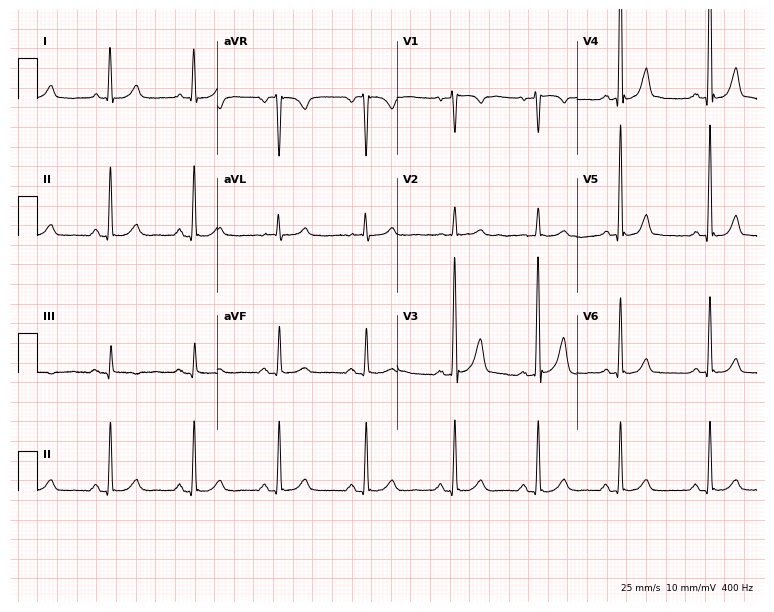
Resting 12-lead electrocardiogram (7.3-second recording at 400 Hz). Patient: a male, 66 years old. Read as a normal ECG.